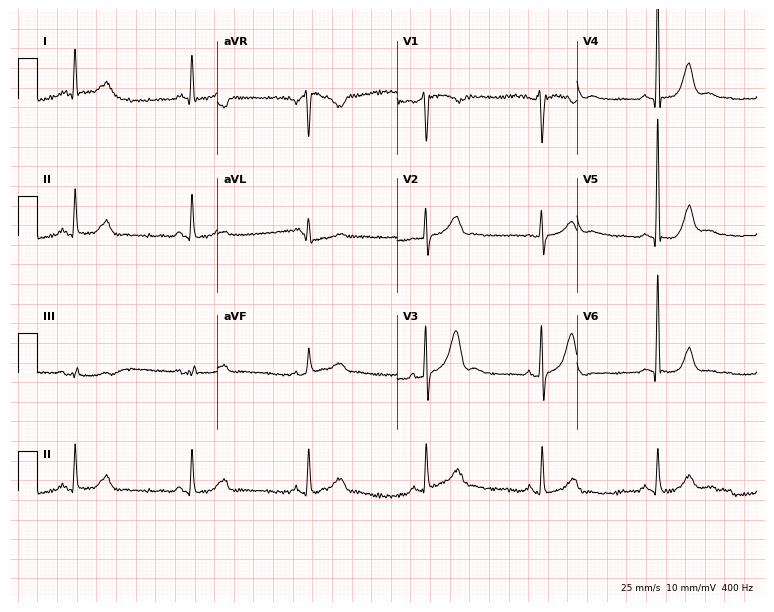
Electrocardiogram (7.3-second recording at 400 Hz), a 78-year-old male patient. Of the six screened findings (first-degree AV block, right bundle branch block, left bundle branch block, sinus bradycardia, atrial fibrillation, sinus tachycardia), none is recorded.